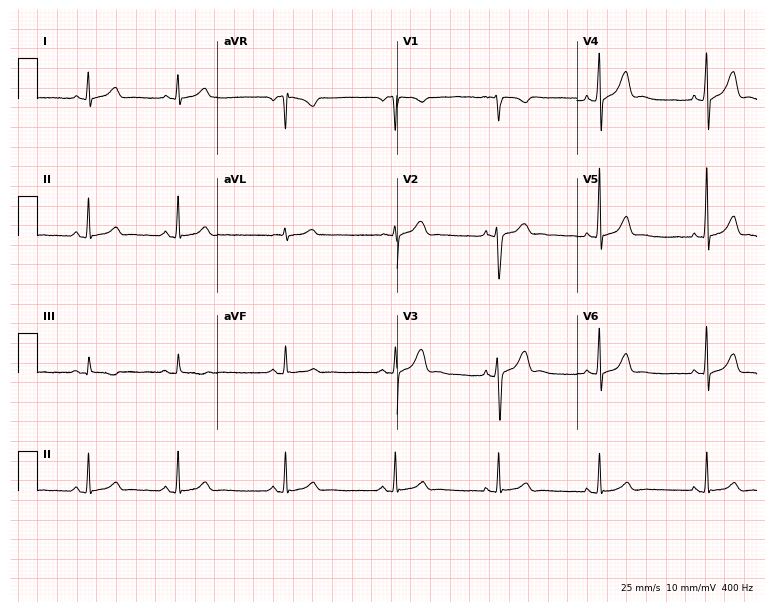
12-lead ECG from a female patient, 17 years old (7.3-second recording at 400 Hz). No first-degree AV block, right bundle branch block, left bundle branch block, sinus bradycardia, atrial fibrillation or sinus tachycardia recorded for this tracing. Findings outside these six are not listed.